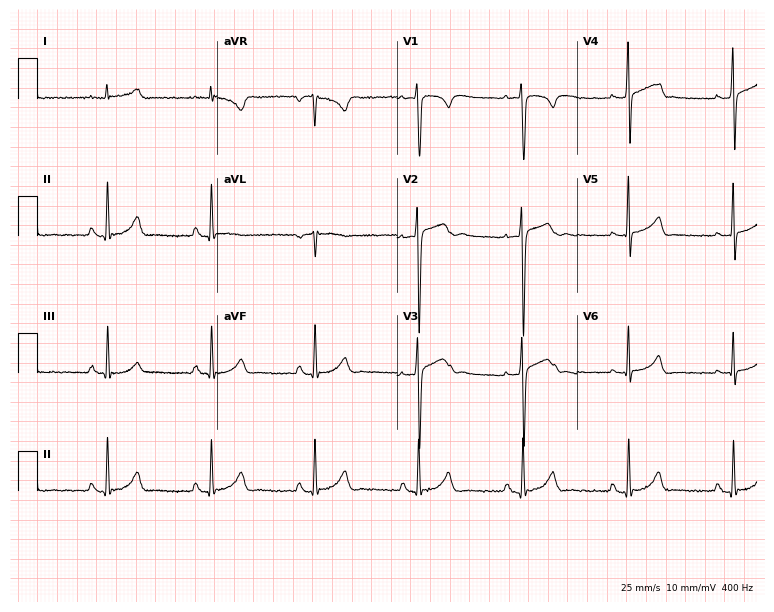
Electrocardiogram, a 32-year-old man. Overall reading on record: normal ECG.